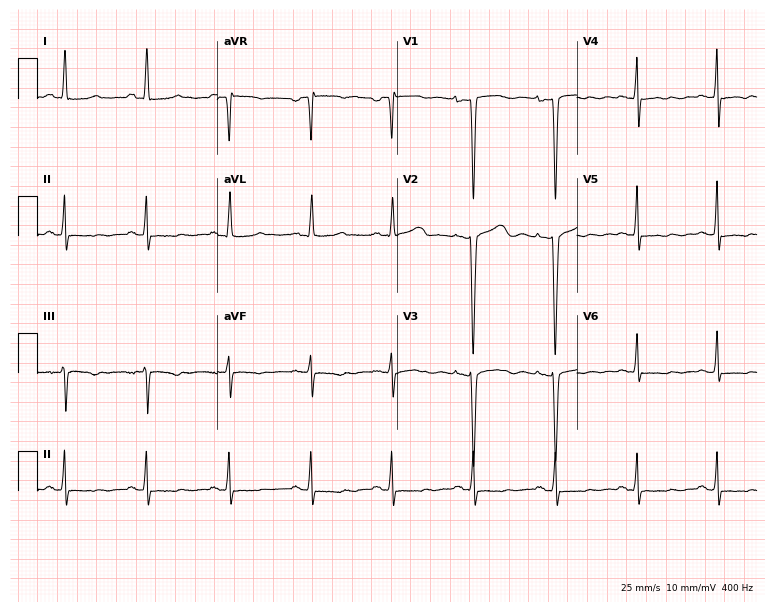
Resting 12-lead electrocardiogram (7.3-second recording at 400 Hz). Patient: a woman, 45 years old. None of these six findings is recorded: first-degree AV block, right bundle branch block, left bundle branch block, sinus bradycardia, atrial fibrillation, sinus tachycardia.